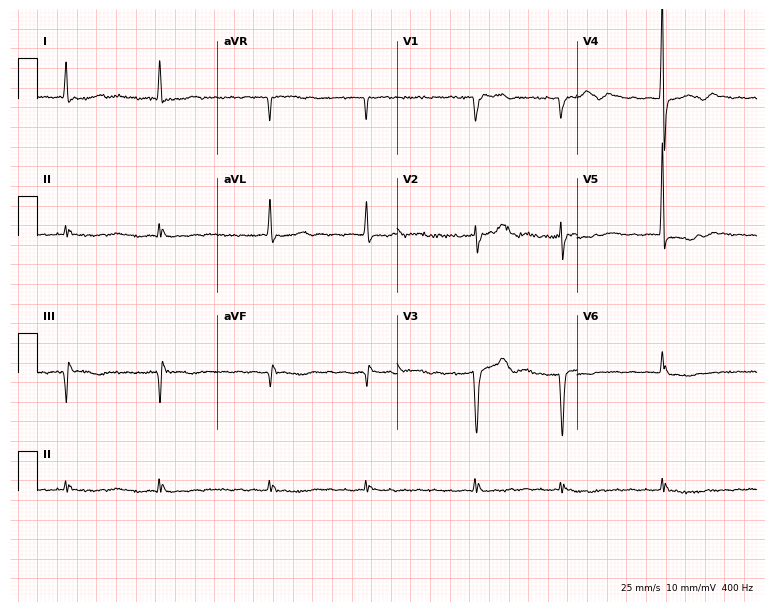
12-lead ECG from an 82-year-old man. Findings include atrial fibrillation.